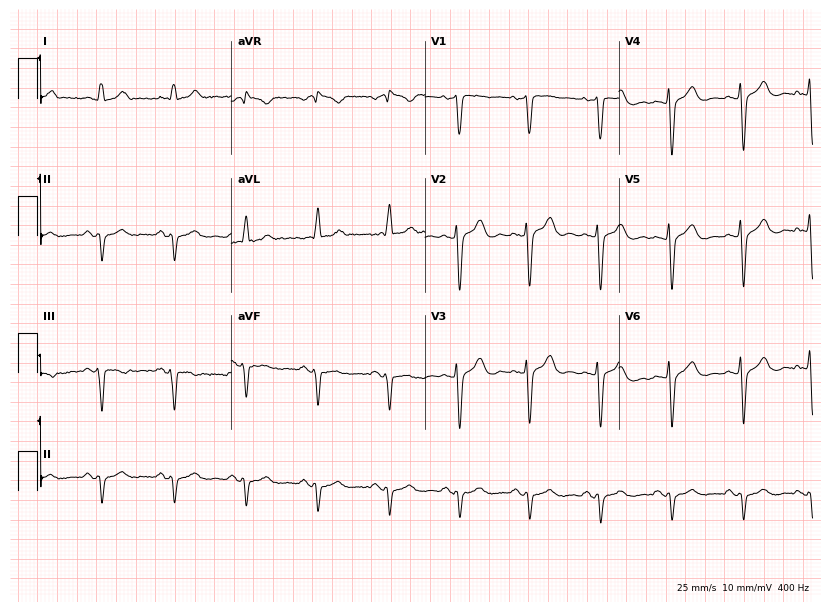
ECG (7.9-second recording at 400 Hz) — a male patient, 42 years old. Screened for six findings — first-degree AV block, right bundle branch block (RBBB), left bundle branch block (LBBB), sinus bradycardia, atrial fibrillation (AF), sinus tachycardia — none is recorded.